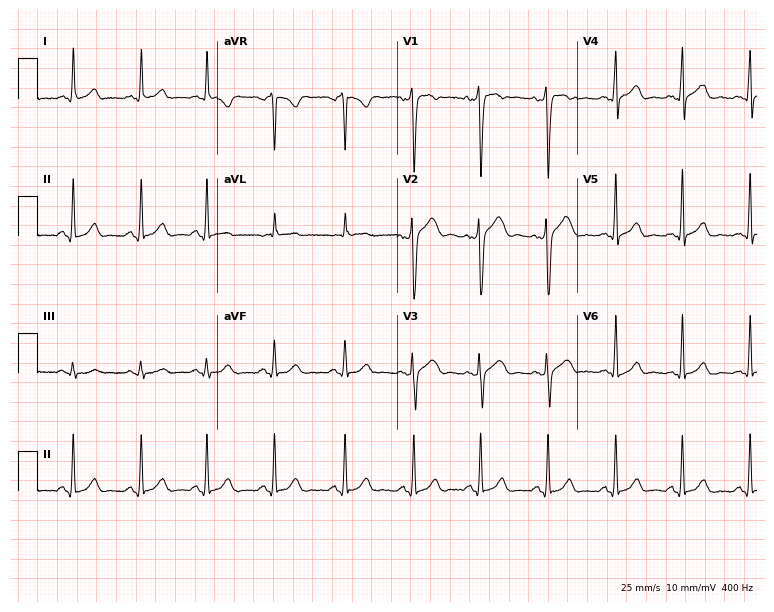
Standard 12-lead ECG recorded from a 27-year-old male. Read as a normal ECG.